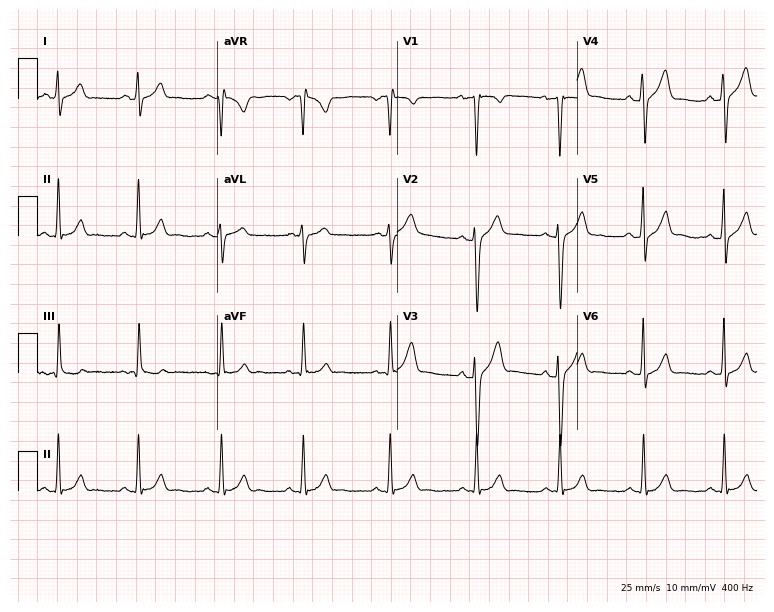
Standard 12-lead ECG recorded from a 26-year-old male (7.3-second recording at 400 Hz). Read as a normal ECG.